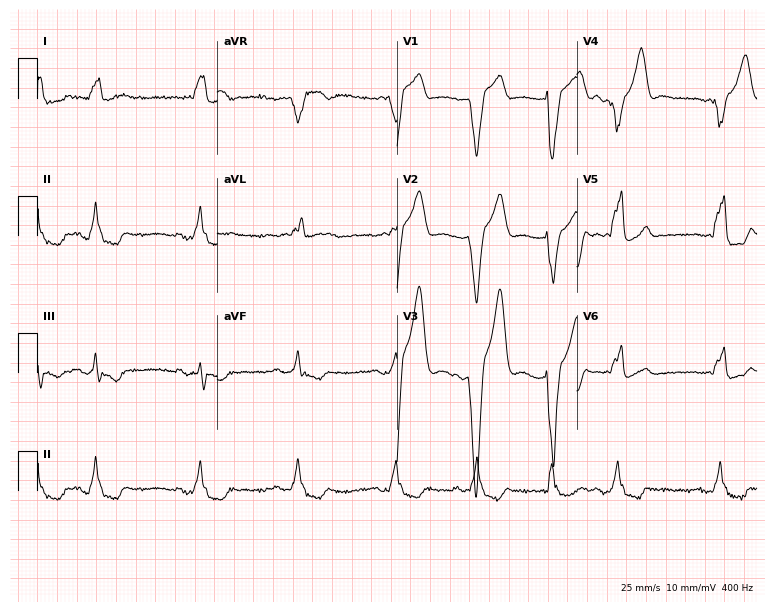
Resting 12-lead electrocardiogram. Patient: an 82-year-old man. The tracing shows left bundle branch block.